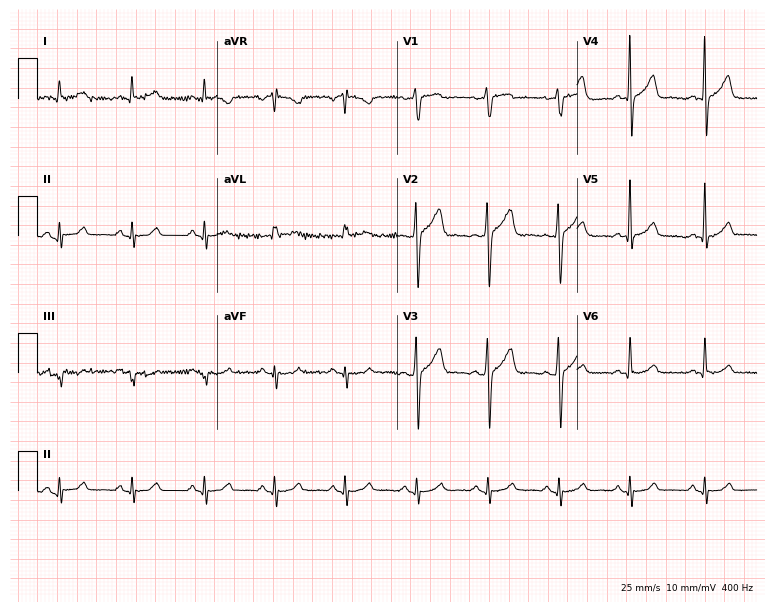
Standard 12-lead ECG recorded from a 55-year-old male. Read as a normal ECG.